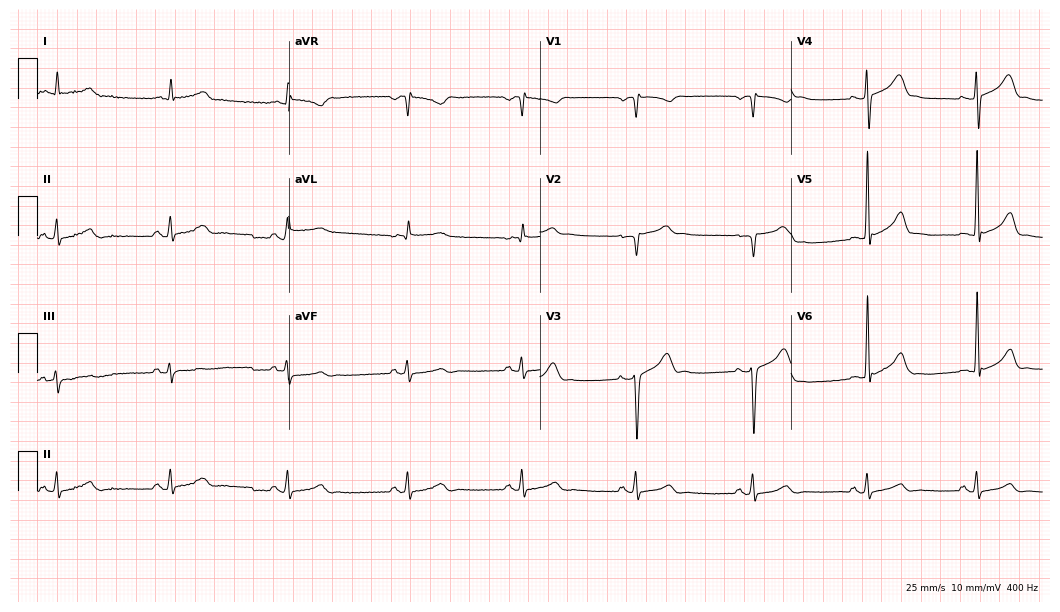
ECG — a male, 54 years old. Screened for six findings — first-degree AV block, right bundle branch block (RBBB), left bundle branch block (LBBB), sinus bradycardia, atrial fibrillation (AF), sinus tachycardia — none is recorded.